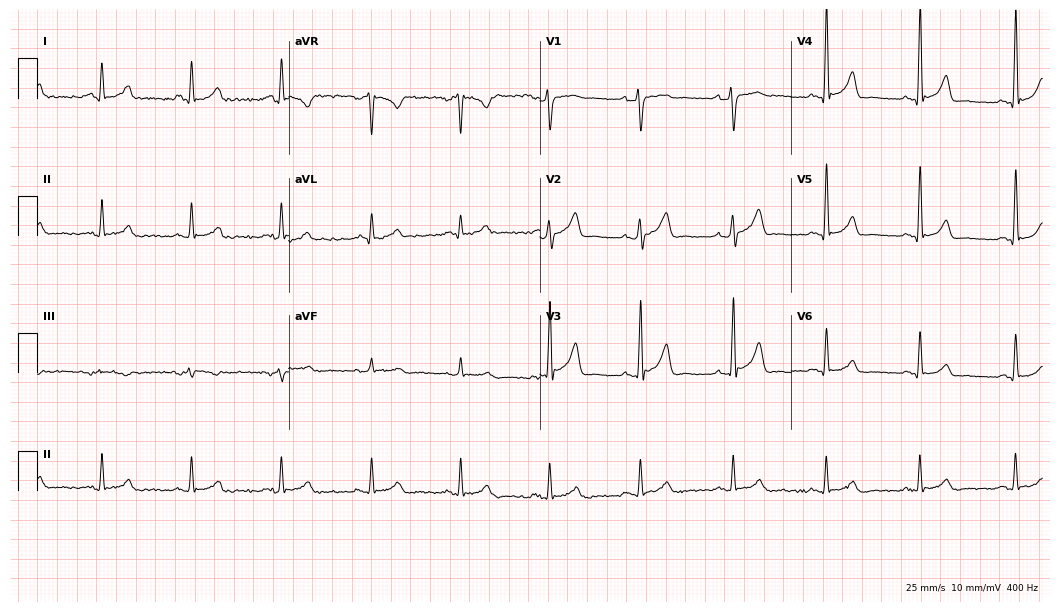
Electrocardiogram, a male, 48 years old. Of the six screened findings (first-degree AV block, right bundle branch block, left bundle branch block, sinus bradycardia, atrial fibrillation, sinus tachycardia), none is recorded. Other findings, if any, are not listed.